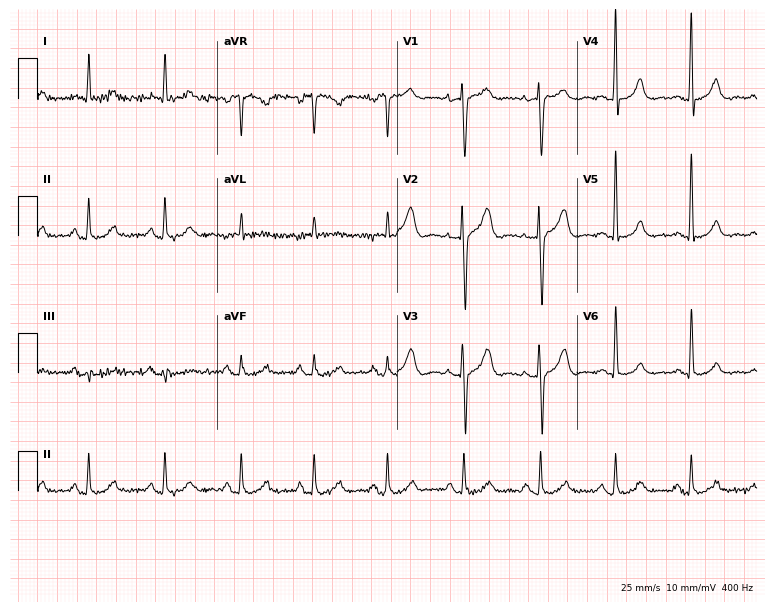
ECG (7.3-second recording at 400 Hz) — a 55-year-old man. Screened for six findings — first-degree AV block, right bundle branch block, left bundle branch block, sinus bradycardia, atrial fibrillation, sinus tachycardia — none is recorded.